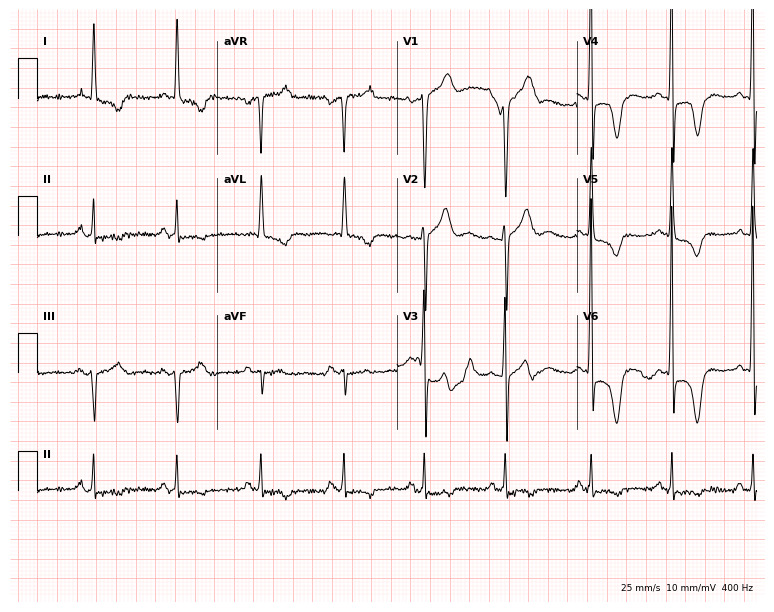
Electrocardiogram, a 52-year-old man. Of the six screened findings (first-degree AV block, right bundle branch block, left bundle branch block, sinus bradycardia, atrial fibrillation, sinus tachycardia), none is recorded. Findings outside these six are not listed.